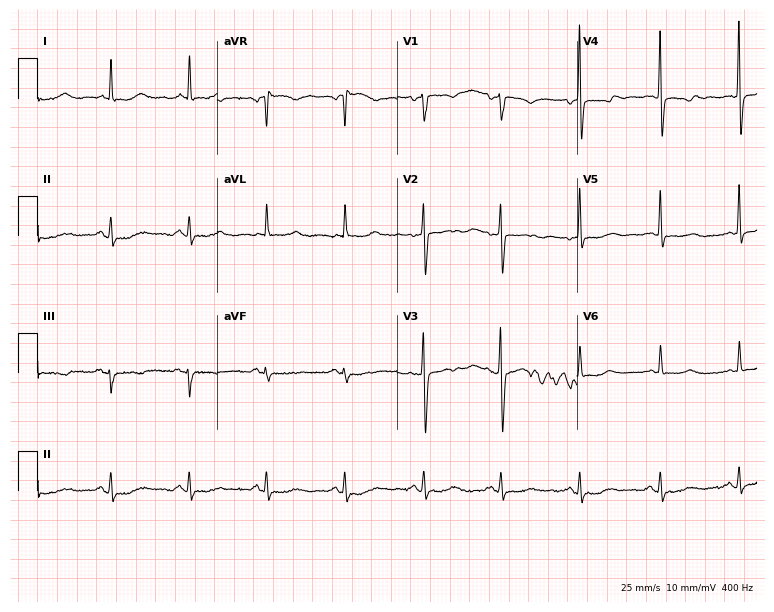
Resting 12-lead electrocardiogram. Patient: a 69-year-old woman. None of these six findings is recorded: first-degree AV block, right bundle branch block, left bundle branch block, sinus bradycardia, atrial fibrillation, sinus tachycardia.